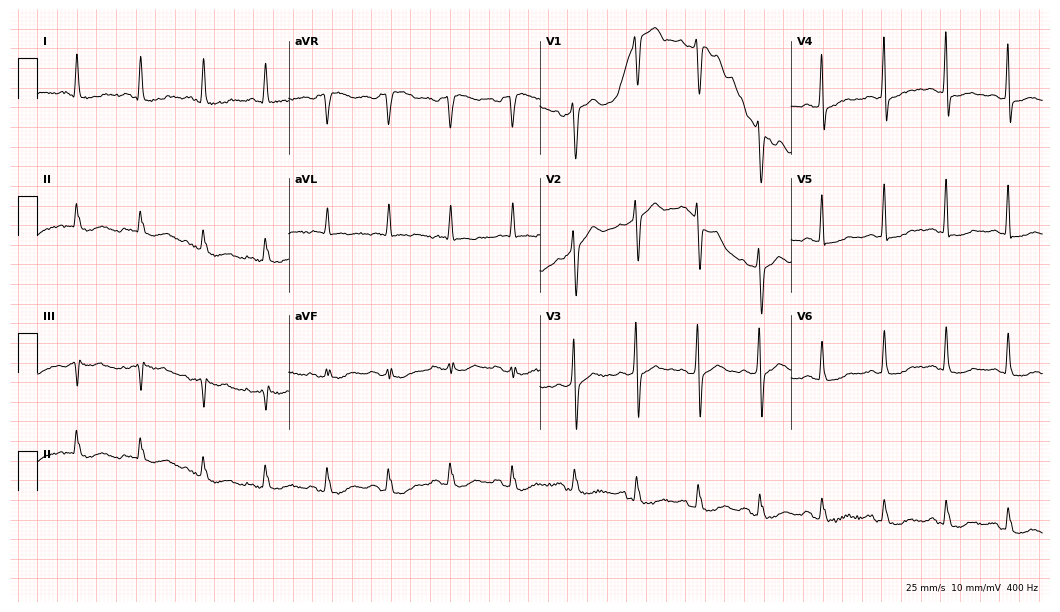
Standard 12-lead ECG recorded from a male, 84 years old (10.2-second recording at 400 Hz). Read as a normal ECG.